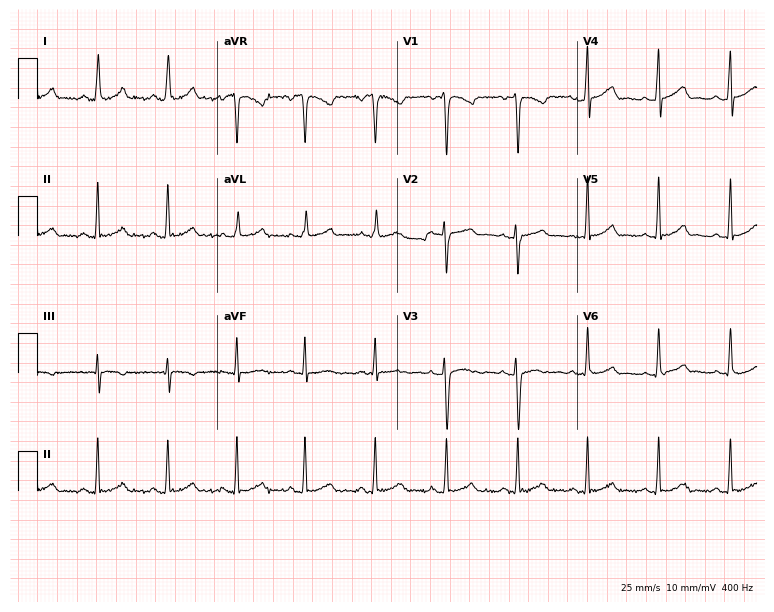
Standard 12-lead ECG recorded from a female patient, 20 years old (7.3-second recording at 400 Hz). Read as a normal ECG.